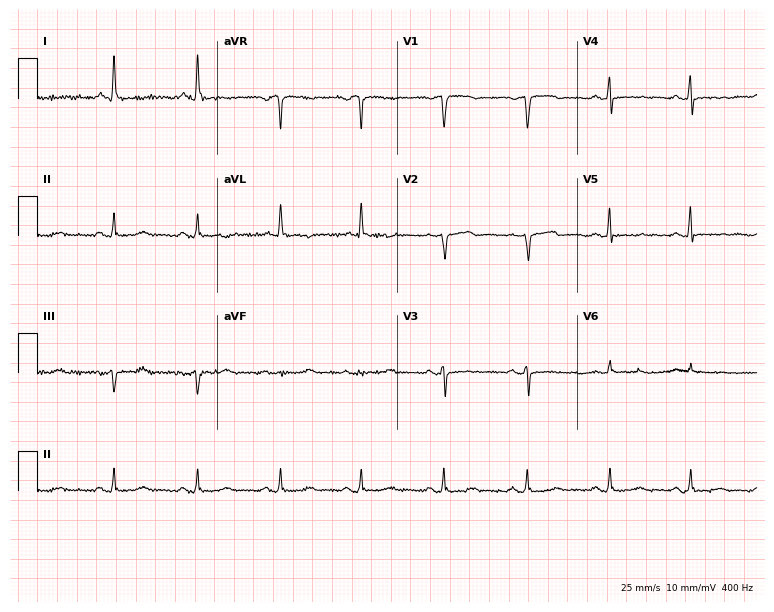
ECG — a female, 66 years old. Labelled as a normal ECG.